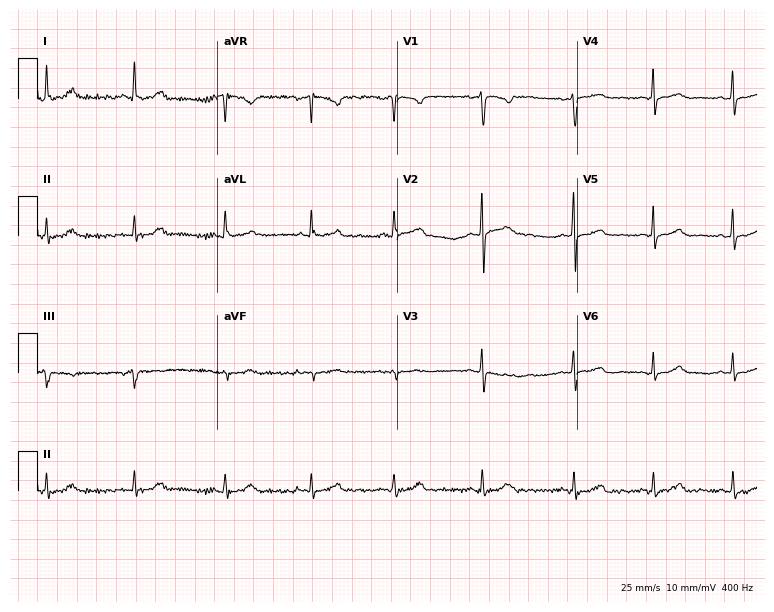
Resting 12-lead electrocardiogram (7.3-second recording at 400 Hz). Patient: a 28-year-old female. None of these six findings is recorded: first-degree AV block, right bundle branch block, left bundle branch block, sinus bradycardia, atrial fibrillation, sinus tachycardia.